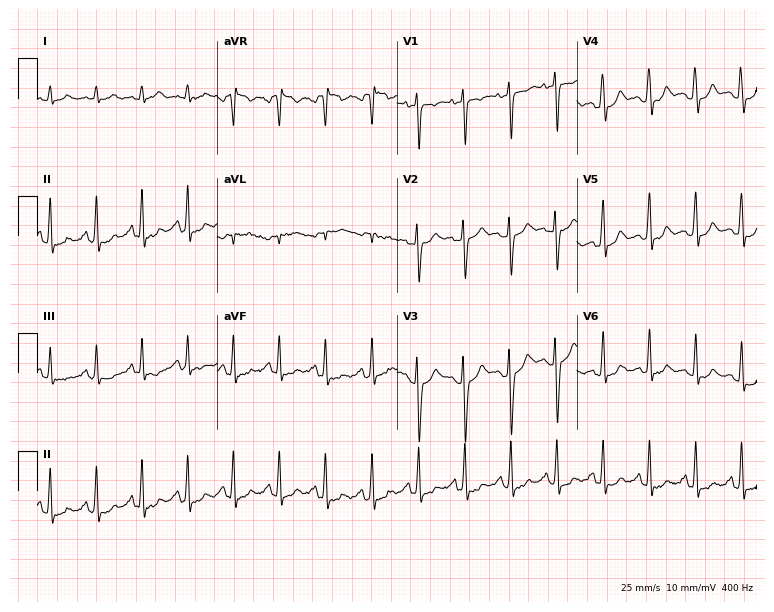
12-lead ECG from a female, 19 years old. Findings include sinus tachycardia (a sinus rate of 100 beats per minute or more).